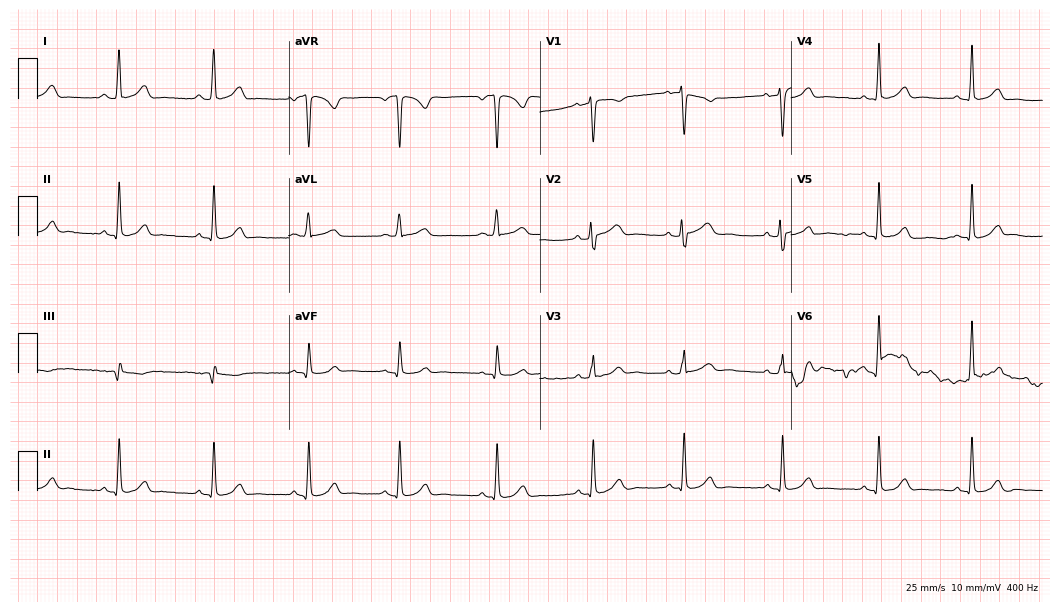
ECG (10.2-second recording at 400 Hz) — a woman, 27 years old. Labelled as a normal ECG.